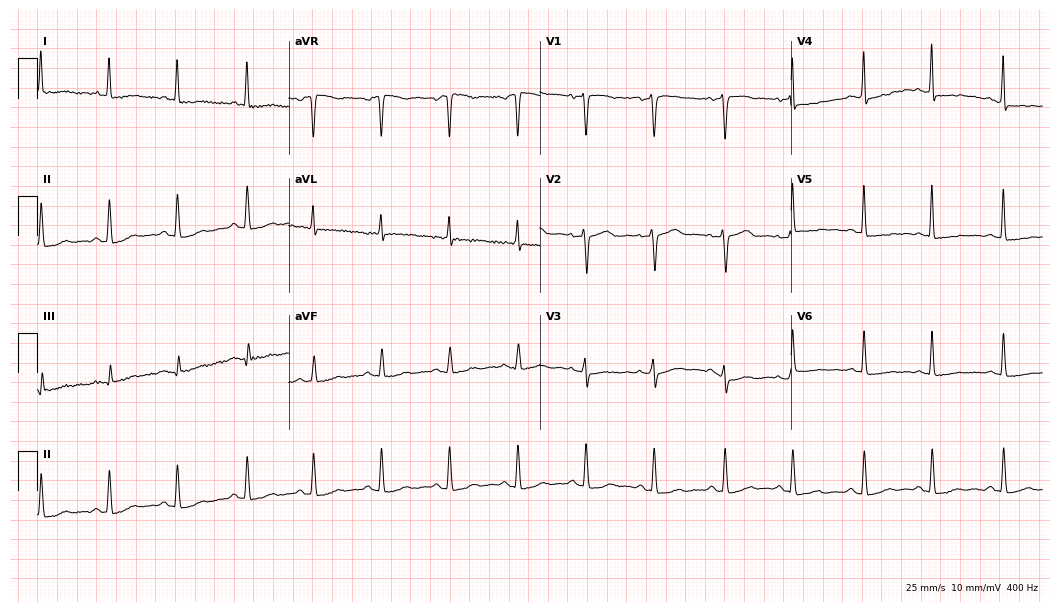
12-lead ECG from a female, 64 years old. Labelled as a normal ECG.